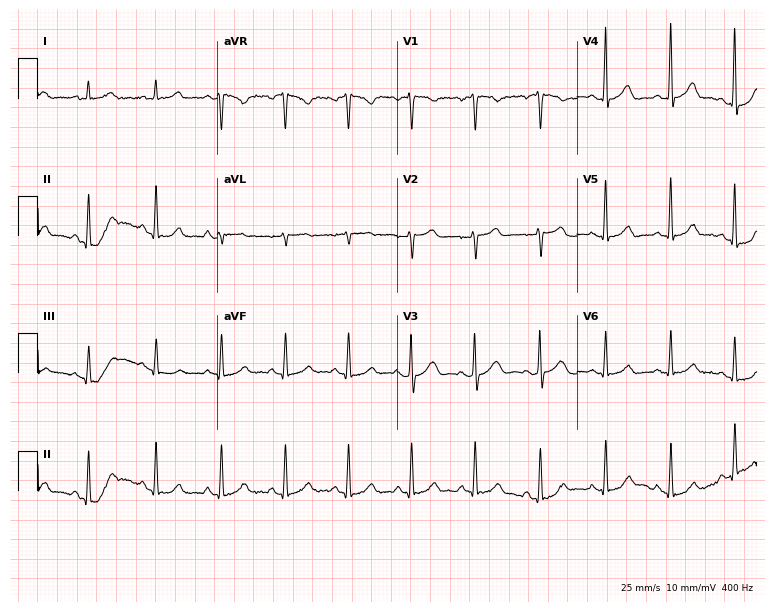
12-lead ECG from a woman, 50 years old (7.3-second recording at 400 Hz). Recorded interpretation: within normal limits.